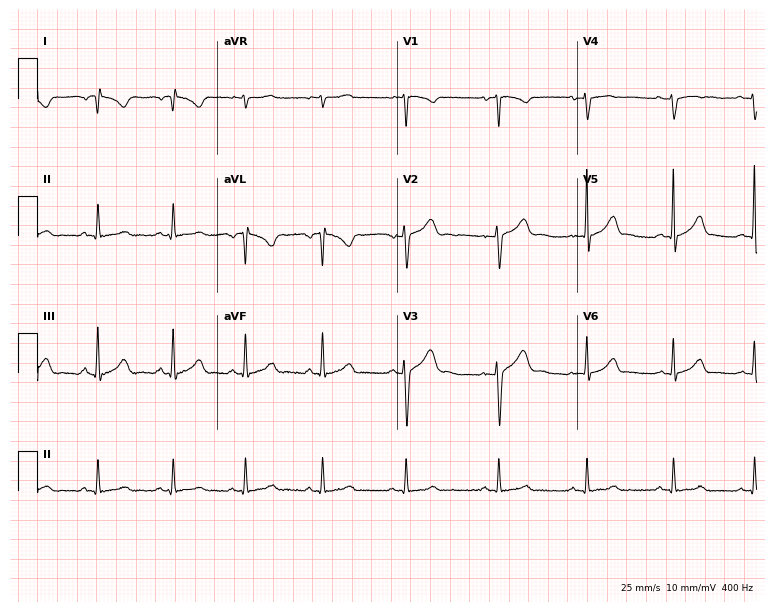
12-lead ECG from a female, 22 years old. No first-degree AV block, right bundle branch block, left bundle branch block, sinus bradycardia, atrial fibrillation or sinus tachycardia recorded for this tracing. Other findings, if any, are not listed.